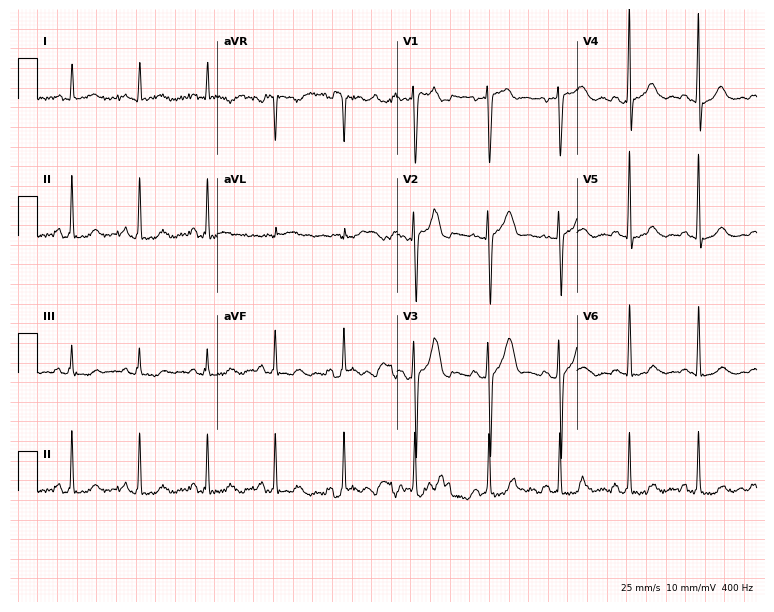
12-lead ECG from a 39-year-old man. No first-degree AV block, right bundle branch block (RBBB), left bundle branch block (LBBB), sinus bradycardia, atrial fibrillation (AF) or sinus tachycardia recorded for this tracing.